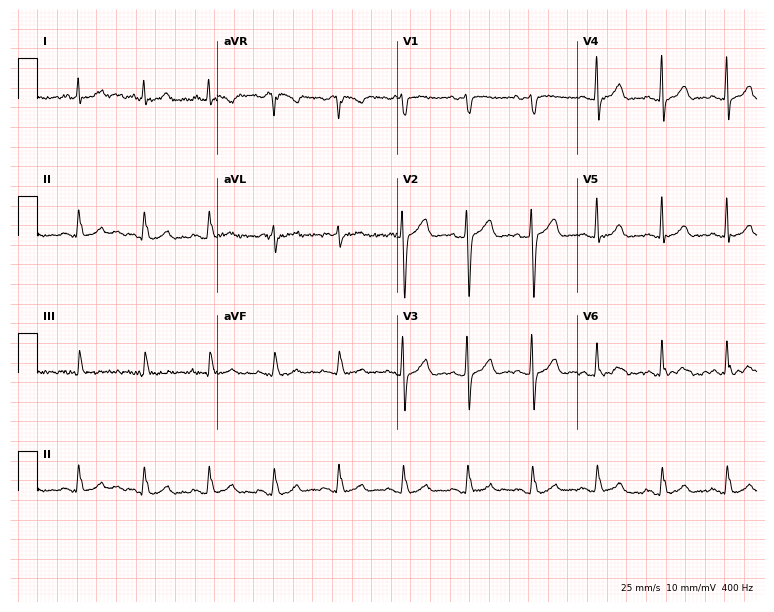
12-lead ECG from a 61-year-old male patient. Labelled as a normal ECG.